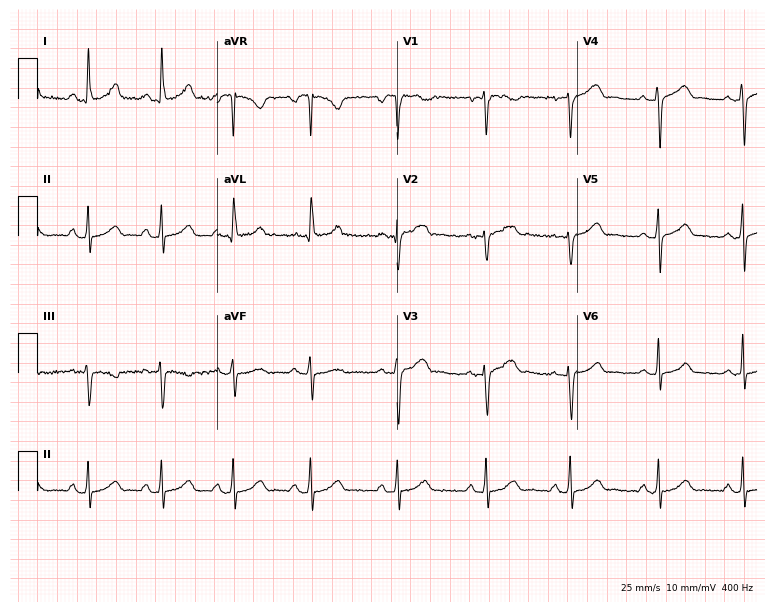
12-lead ECG from a 25-year-old female patient (7.3-second recording at 400 Hz). Recorded interpretation: within normal limits.